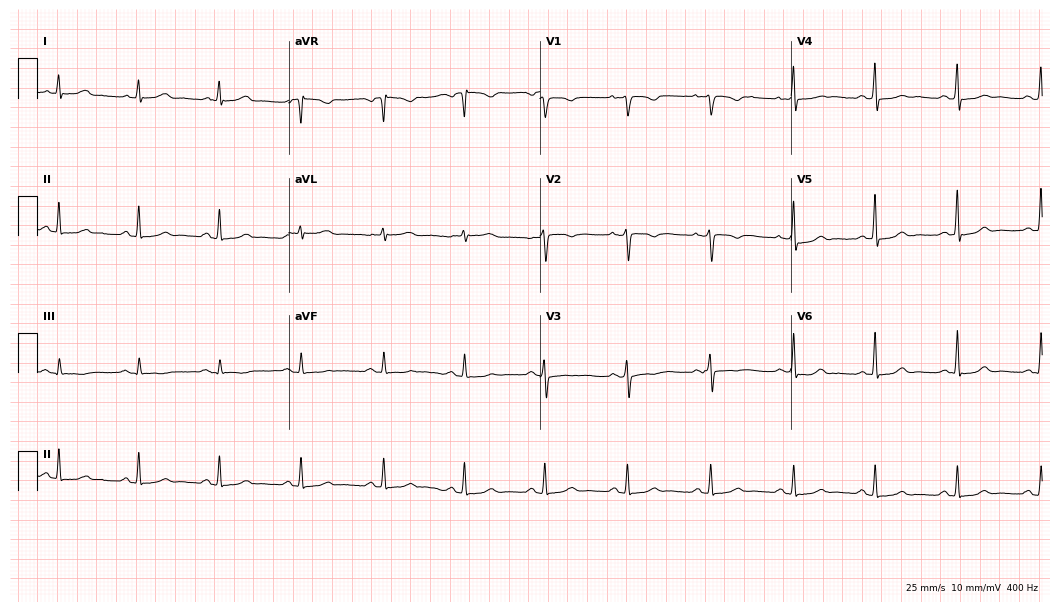
Electrocardiogram, a 51-year-old female patient. Of the six screened findings (first-degree AV block, right bundle branch block, left bundle branch block, sinus bradycardia, atrial fibrillation, sinus tachycardia), none is recorded. Other findings, if any, are not listed.